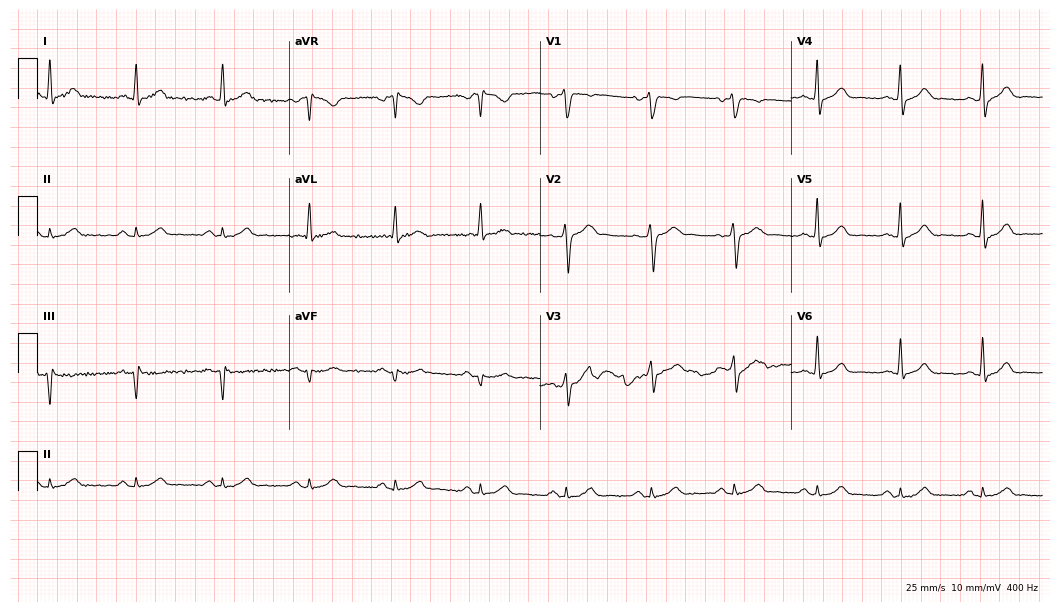
Resting 12-lead electrocardiogram (10.2-second recording at 400 Hz). Patient: a 49-year-old male. Read as a normal ECG.